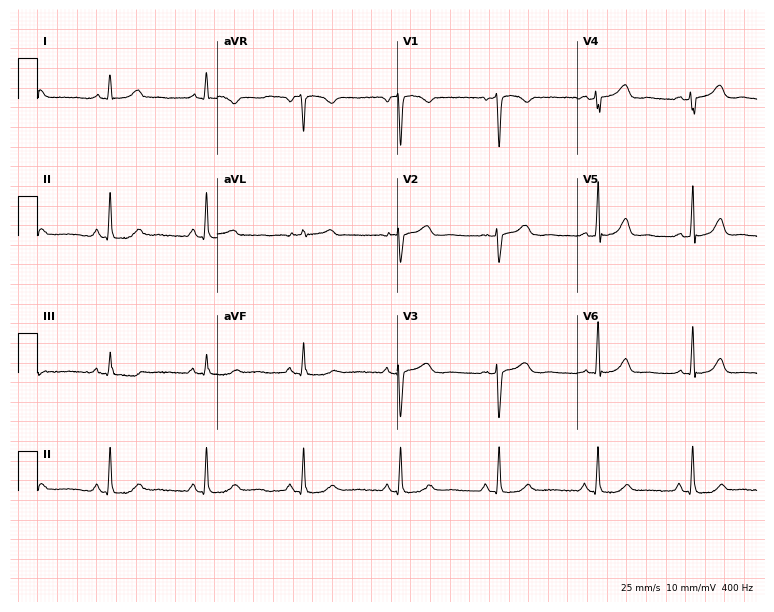
ECG — a female, 47 years old. Screened for six findings — first-degree AV block, right bundle branch block, left bundle branch block, sinus bradycardia, atrial fibrillation, sinus tachycardia — none is recorded.